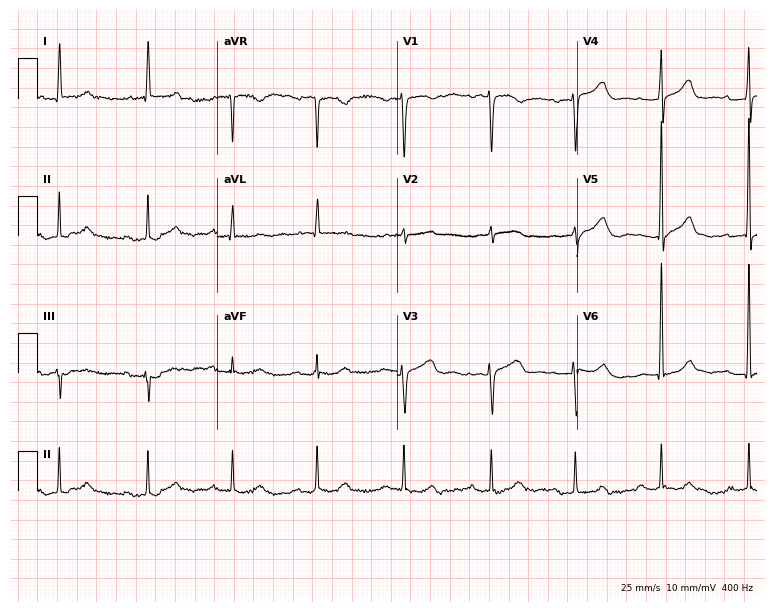
12-lead ECG from a female patient, 74 years old. Shows first-degree AV block.